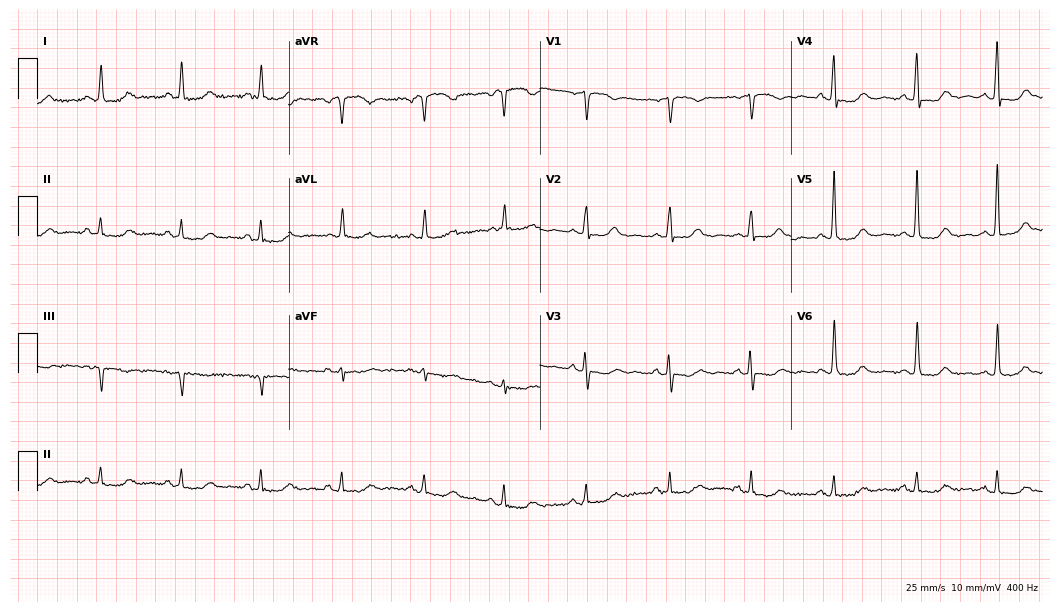
Electrocardiogram, a female patient, 85 years old. Of the six screened findings (first-degree AV block, right bundle branch block, left bundle branch block, sinus bradycardia, atrial fibrillation, sinus tachycardia), none is recorded. Only these six findings were labelled.